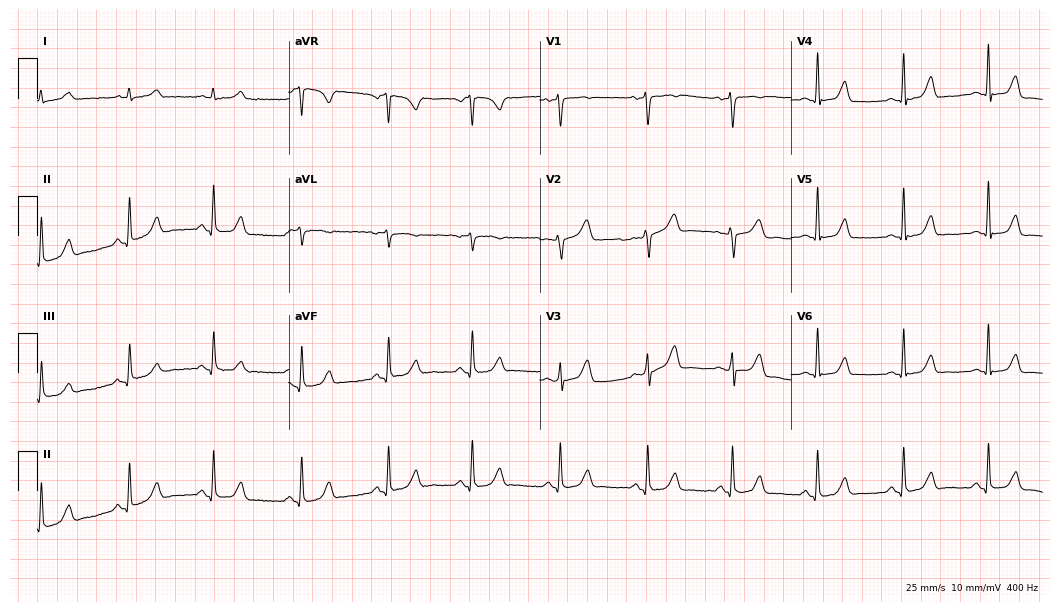
Electrocardiogram, a woman, 43 years old. Overall reading on record: normal ECG.